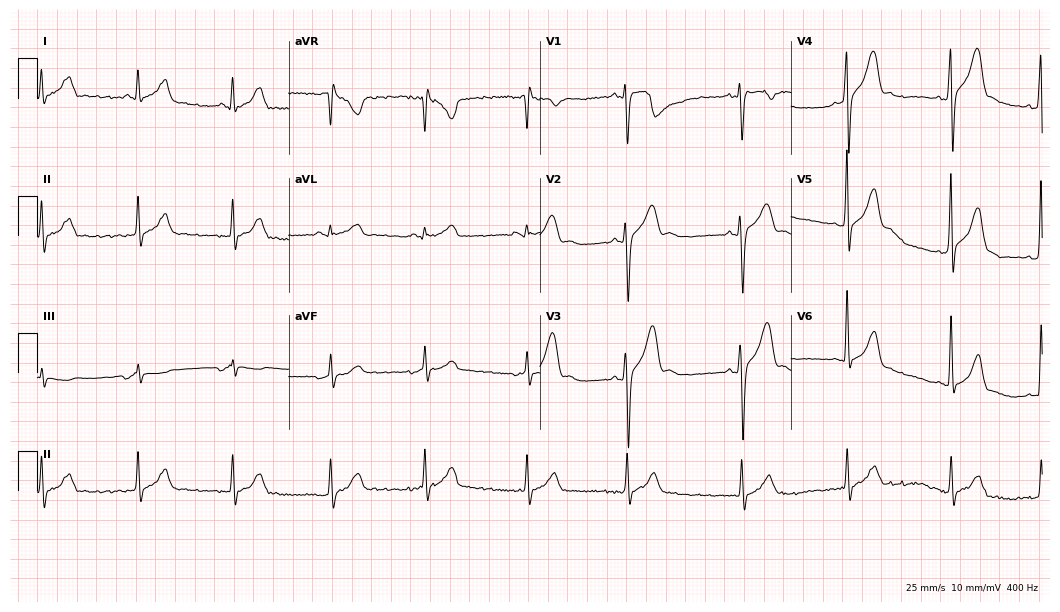
Resting 12-lead electrocardiogram (10.2-second recording at 400 Hz). Patient: a male, 22 years old. None of these six findings is recorded: first-degree AV block, right bundle branch block (RBBB), left bundle branch block (LBBB), sinus bradycardia, atrial fibrillation (AF), sinus tachycardia.